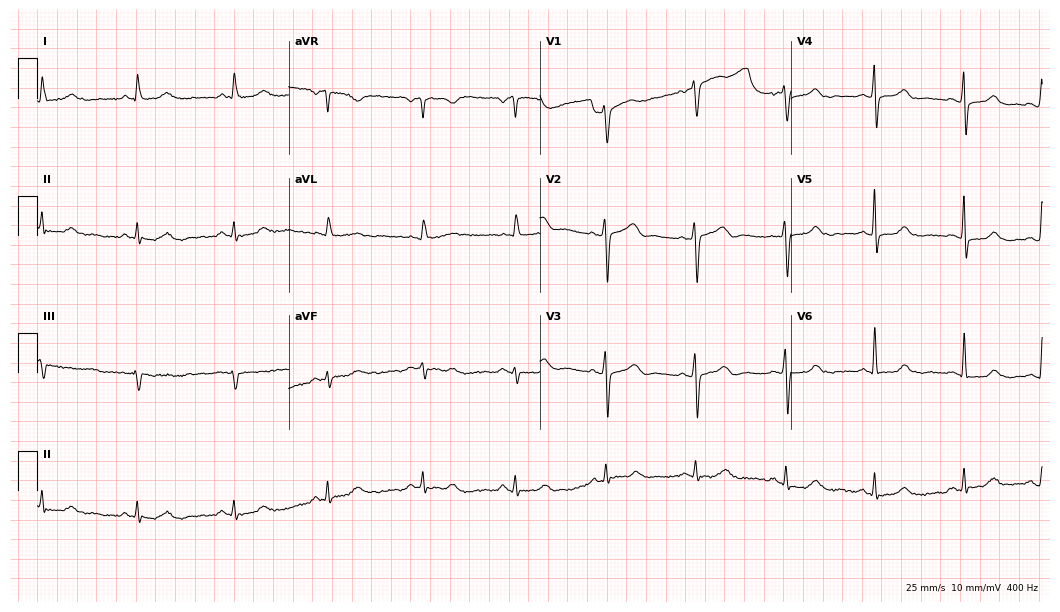
Electrocardiogram (10.2-second recording at 400 Hz), a man, 55 years old. Of the six screened findings (first-degree AV block, right bundle branch block (RBBB), left bundle branch block (LBBB), sinus bradycardia, atrial fibrillation (AF), sinus tachycardia), none is recorded.